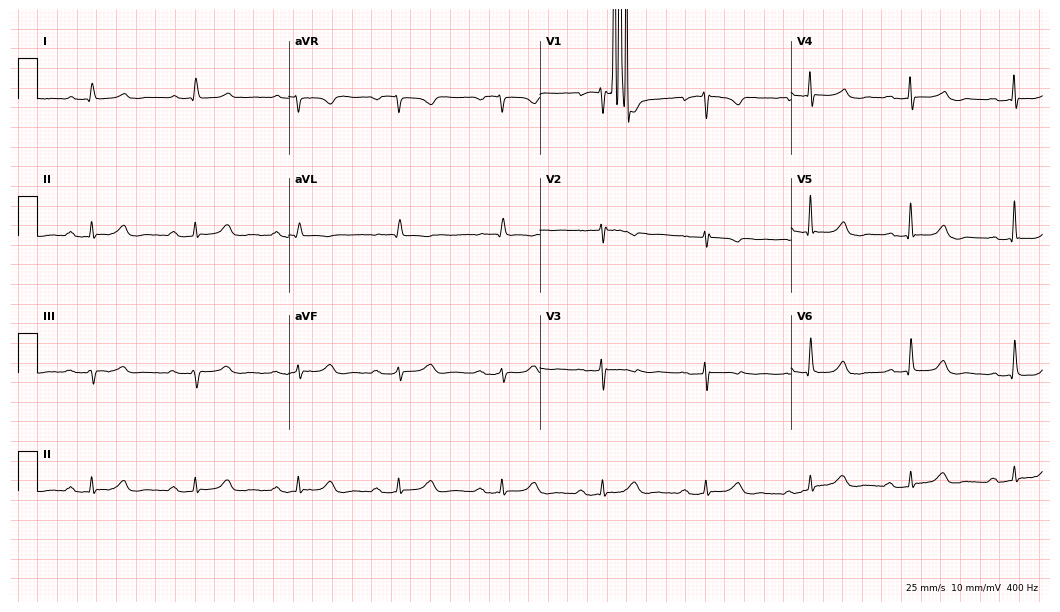
12-lead ECG from a woman, 80 years old. Findings include first-degree AV block.